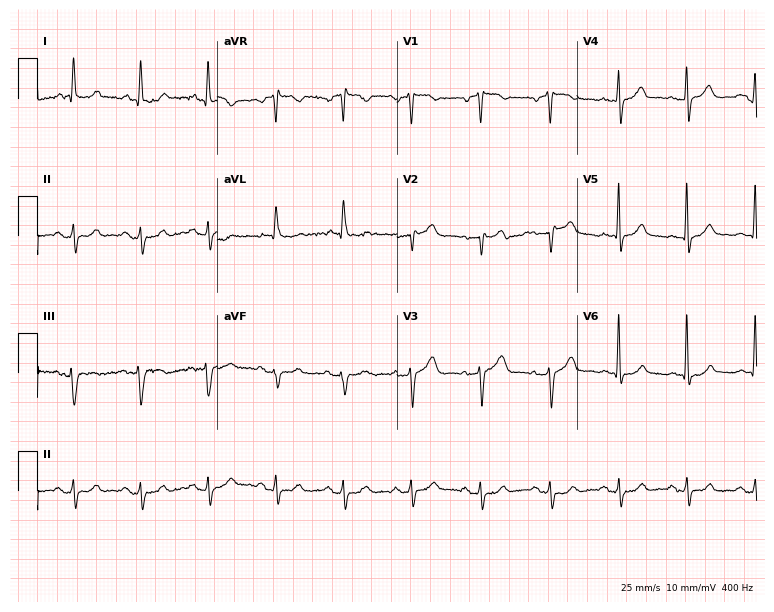
Resting 12-lead electrocardiogram. Patient: a male, 64 years old. None of these six findings is recorded: first-degree AV block, right bundle branch block, left bundle branch block, sinus bradycardia, atrial fibrillation, sinus tachycardia. Only these six findings were labelled.